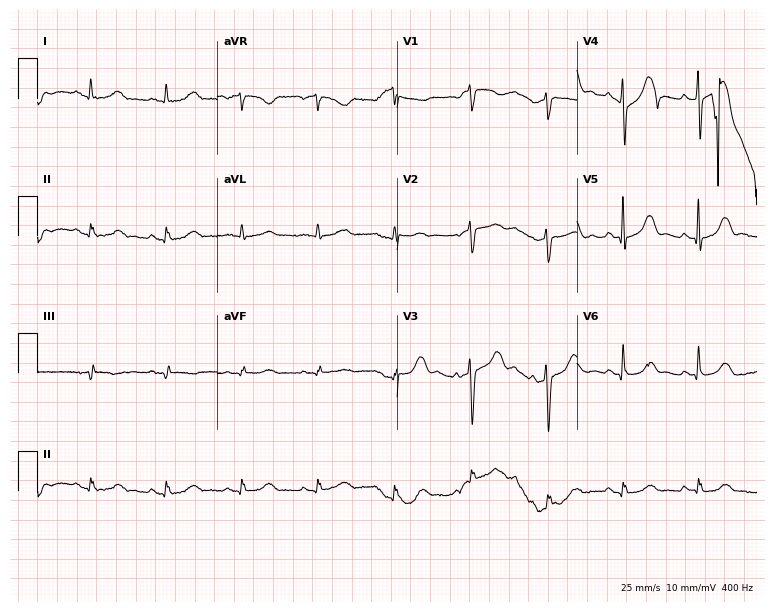
Resting 12-lead electrocardiogram (7.3-second recording at 400 Hz). Patient: an 84-year-old woman. Read as a normal ECG.